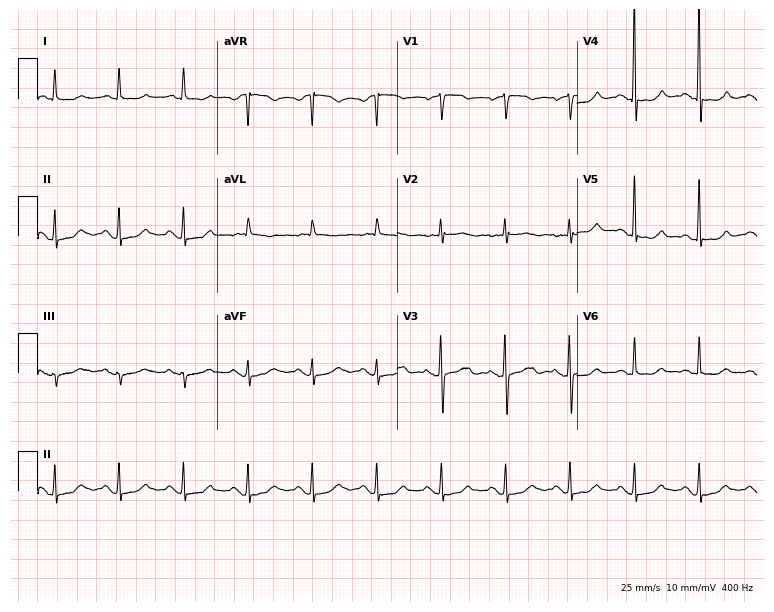
Resting 12-lead electrocardiogram. Patient: a woman, 83 years old. None of these six findings is recorded: first-degree AV block, right bundle branch block, left bundle branch block, sinus bradycardia, atrial fibrillation, sinus tachycardia. Only these six findings were labelled.